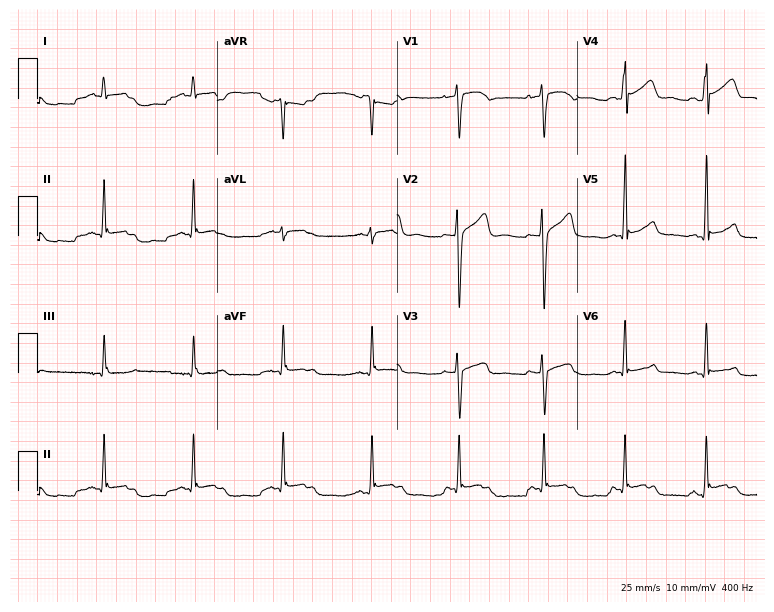
Resting 12-lead electrocardiogram (7.3-second recording at 400 Hz). Patient: a male, 36 years old. Read as a normal ECG.